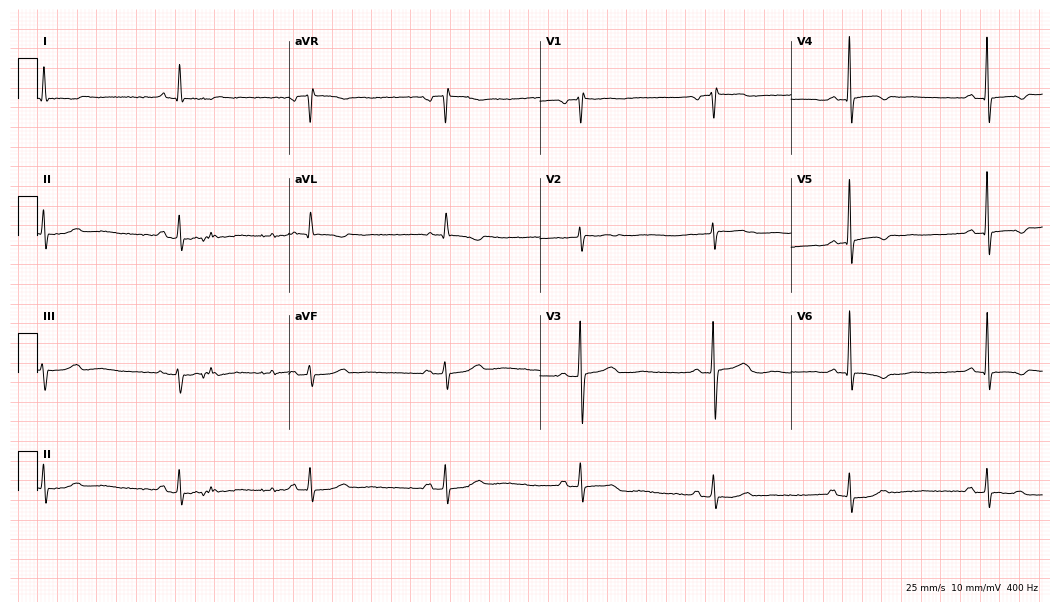
Electrocardiogram (10.2-second recording at 400 Hz), an 80-year-old male. Of the six screened findings (first-degree AV block, right bundle branch block (RBBB), left bundle branch block (LBBB), sinus bradycardia, atrial fibrillation (AF), sinus tachycardia), none is recorded.